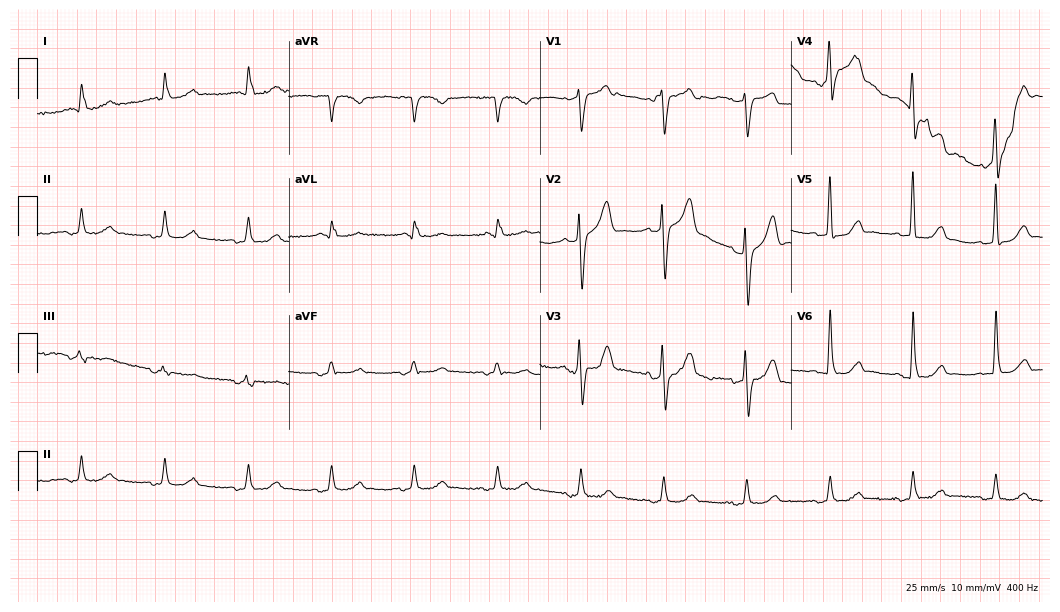
Electrocardiogram, an 84-year-old male. Of the six screened findings (first-degree AV block, right bundle branch block, left bundle branch block, sinus bradycardia, atrial fibrillation, sinus tachycardia), none is recorded.